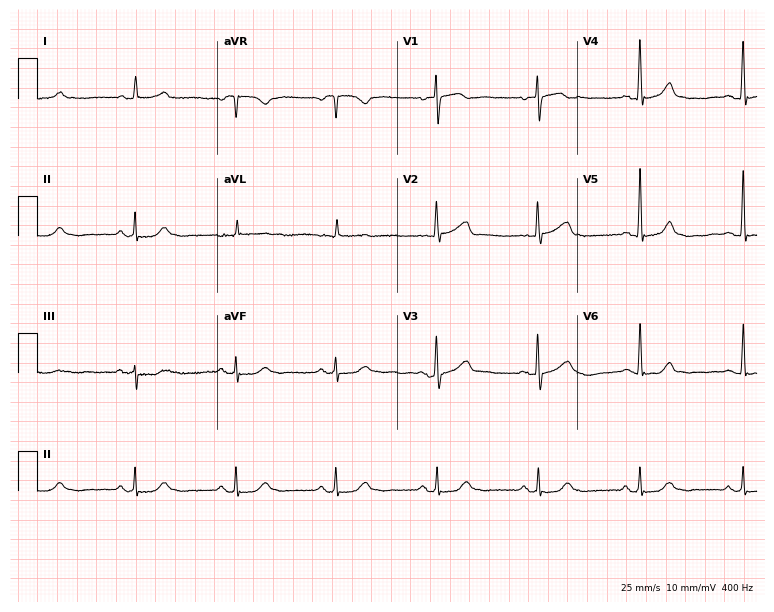
ECG (7.3-second recording at 400 Hz) — a woman, 76 years old. Labelled as a normal ECG.